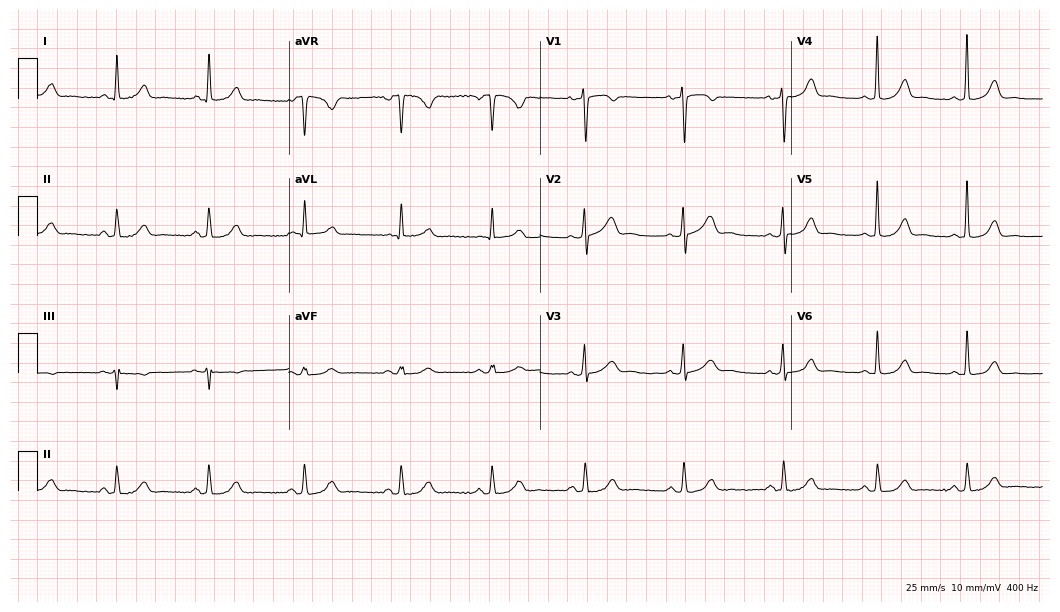
12-lead ECG from a woman, 43 years old. Recorded interpretation: within normal limits.